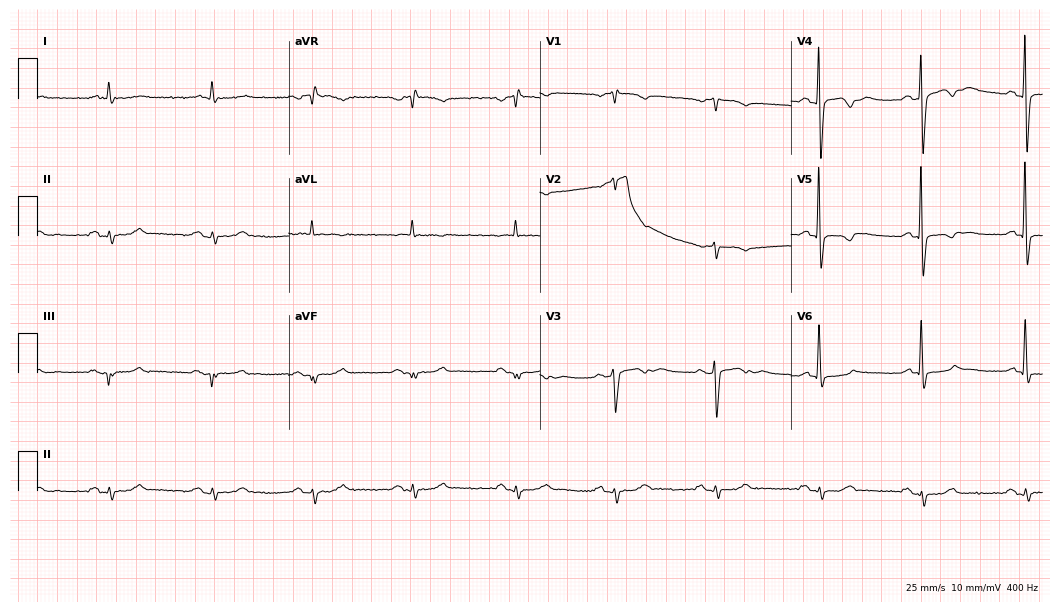
Resting 12-lead electrocardiogram. Patient: a female, 78 years old. None of these six findings is recorded: first-degree AV block, right bundle branch block, left bundle branch block, sinus bradycardia, atrial fibrillation, sinus tachycardia. Only these six findings were labelled.